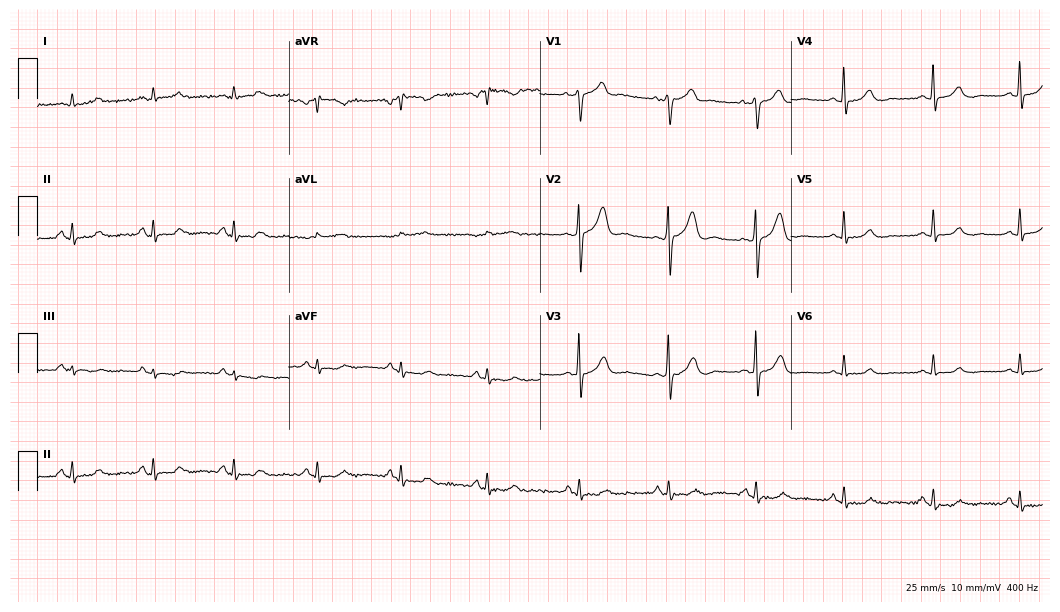
Standard 12-lead ECG recorded from a 70-year-old male. Read as a normal ECG.